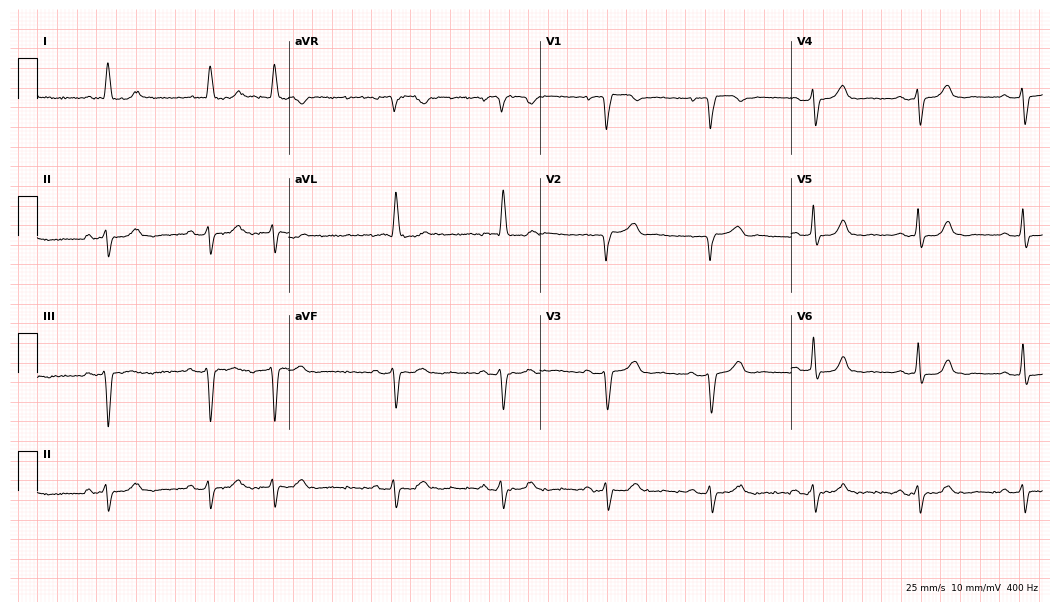
Resting 12-lead electrocardiogram (10.2-second recording at 400 Hz). Patient: a woman, 82 years old. None of these six findings is recorded: first-degree AV block, right bundle branch block, left bundle branch block, sinus bradycardia, atrial fibrillation, sinus tachycardia.